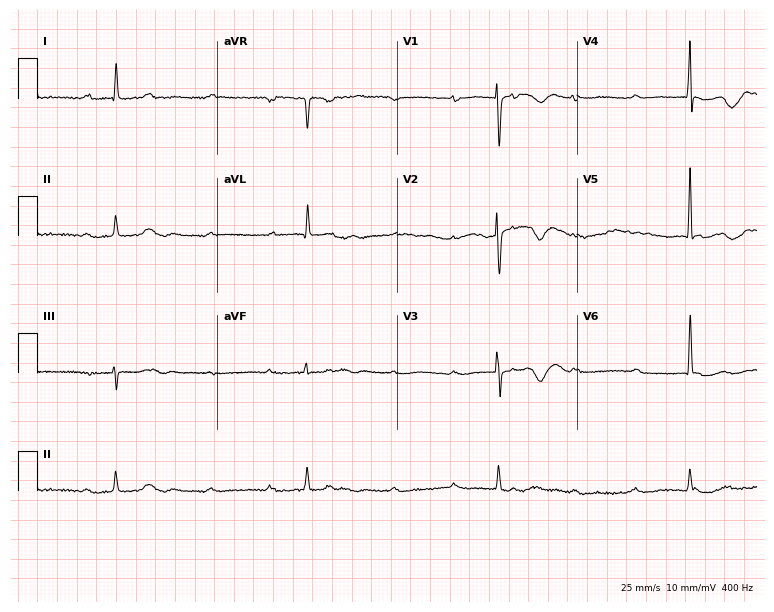
12-lead ECG from a female, 81 years old (7.3-second recording at 400 Hz). No first-degree AV block, right bundle branch block, left bundle branch block, sinus bradycardia, atrial fibrillation or sinus tachycardia recorded for this tracing. Only these six findings were labelled.